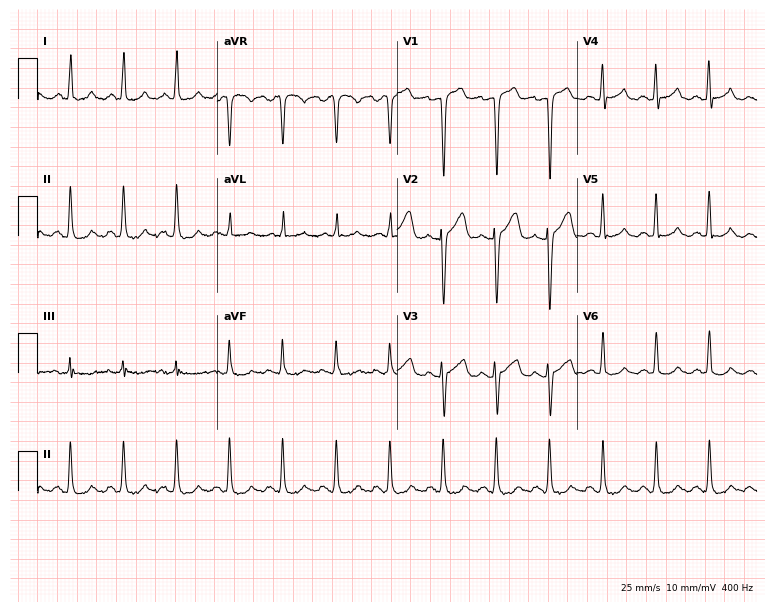
Resting 12-lead electrocardiogram. Patient: a man, 58 years old. The tracing shows sinus tachycardia (a sinus rate of 100 beats per minute or more).